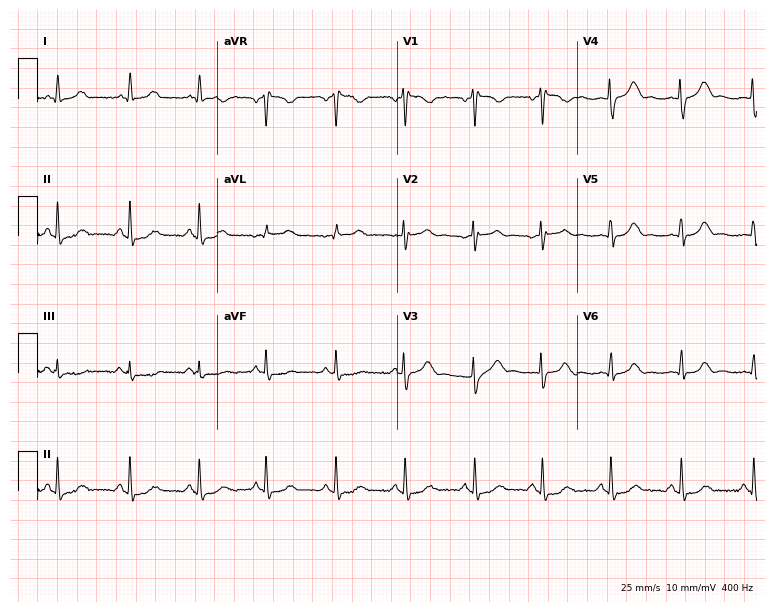
Electrocardiogram, a woman, 19 years old. Of the six screened findings (first-degree AV block, right bundle branch block, left bundle branch block, sinus bradycardia, atrial fibrillation, sinus tachycardia), none is recorded.